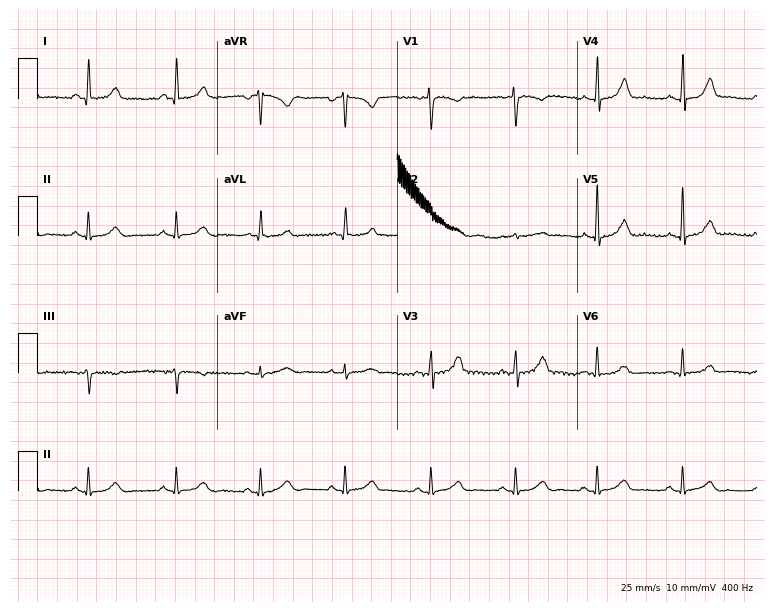
Electrocardiogram, a 46-year-old female. Overall reading on record: normal ECG.